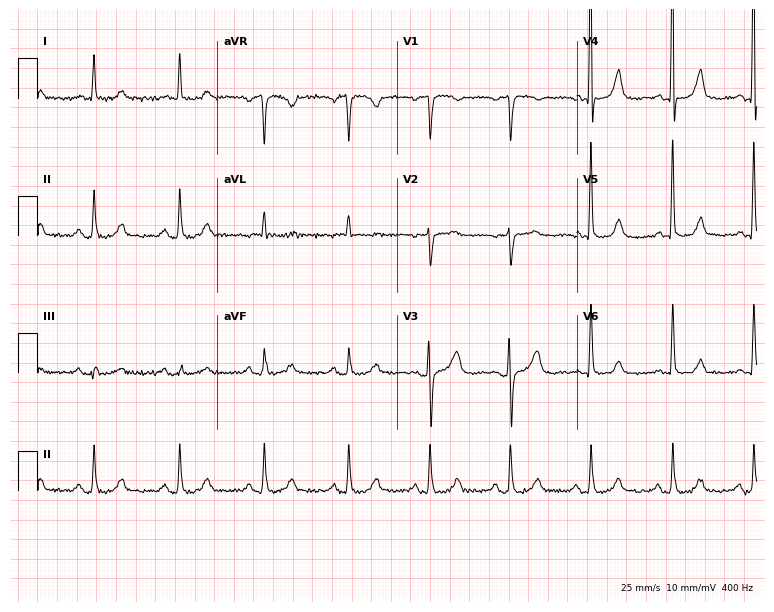
Standard 12-lead ECG recorded from a 70-year-old female patient (7.3-second recording at 400 Hz). Read as a normal ECG.